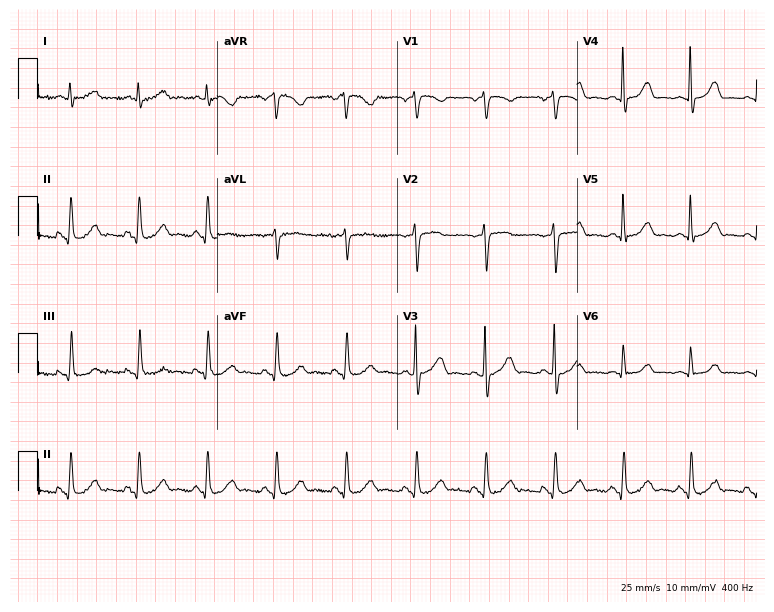
Resting 12-lead electrocardiogram (7.3-second recording at 400 Hz). Patient: a 63-year-old male. Read as a normal ECG.